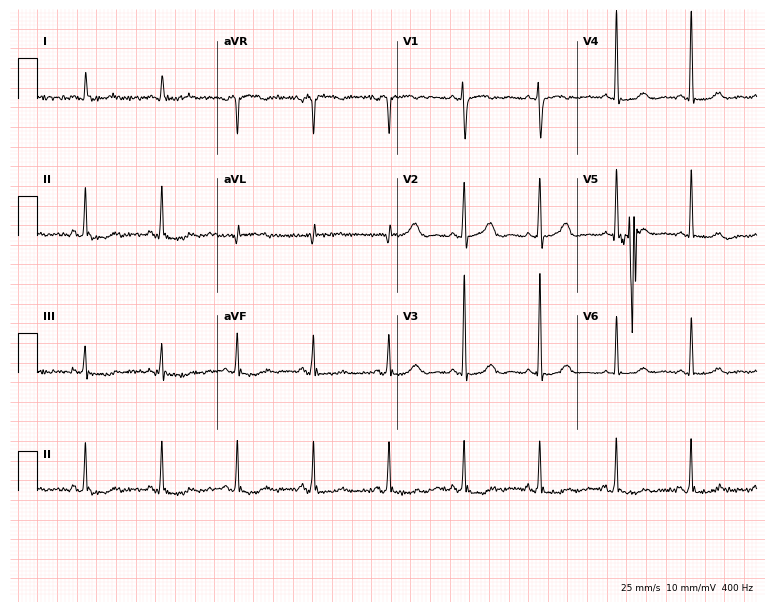
12-lead ECG from a 58-year-old woman (7.3-second recording at 400 Hz). No first-degree AV block, right bundle branch block, left bundle branch block, sinus bradycardia, atrial fibrillation or sinus tachycardia recorded for this tracing. Only these six findings were labelled.